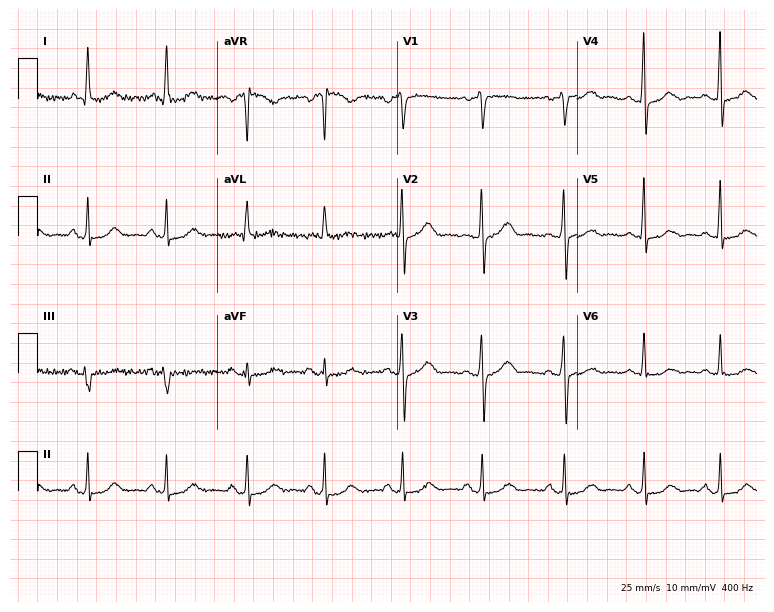
Electrocardiogram (7.3-second recording at 400 Hz), a 76-year-old female patient. Overall reading on record: normal ECG.